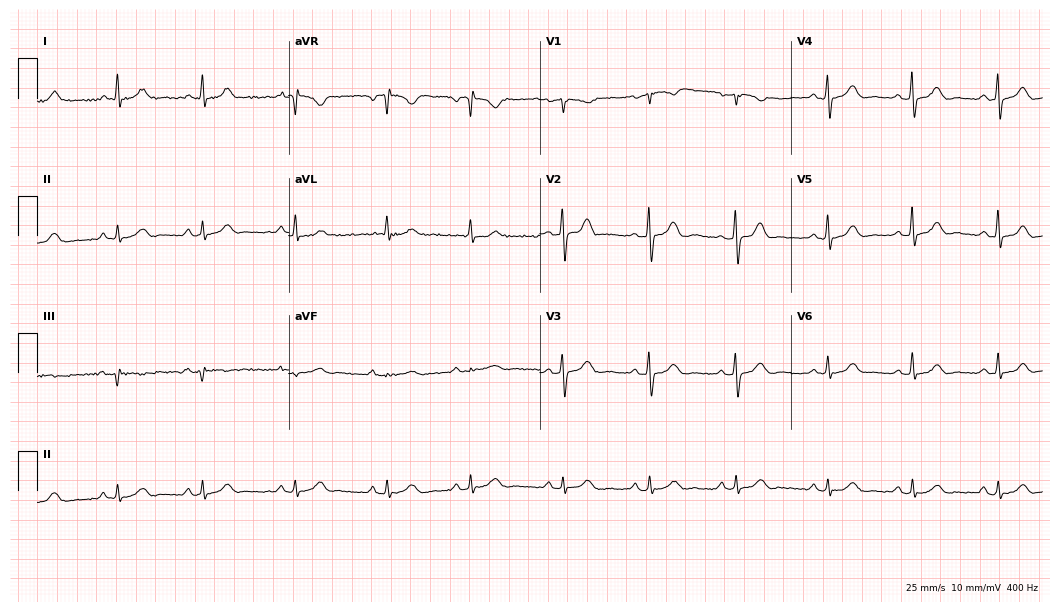
ECG — a 70-year-old female patient. Labelled as a normal ECG.